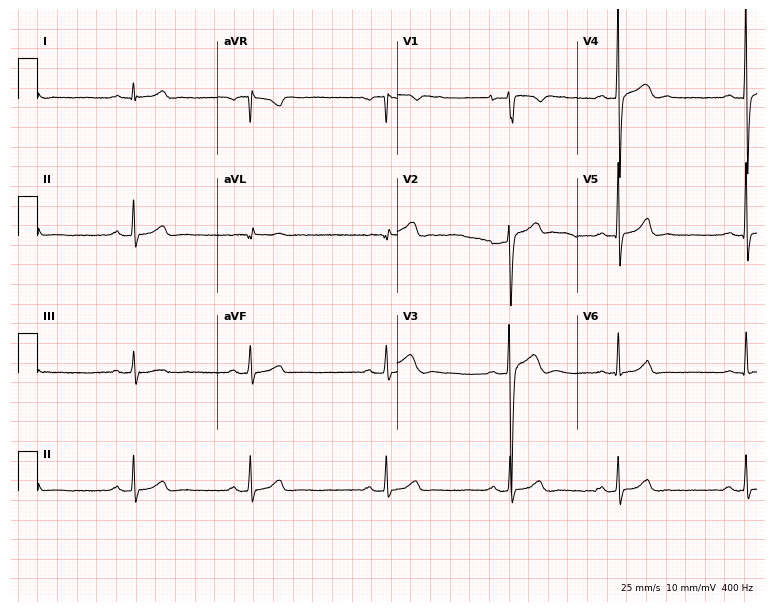
Electrocardiogram (7.3-second recording at 400 Hz), a 23-year-old male. Overall reading on record: normal ECG.